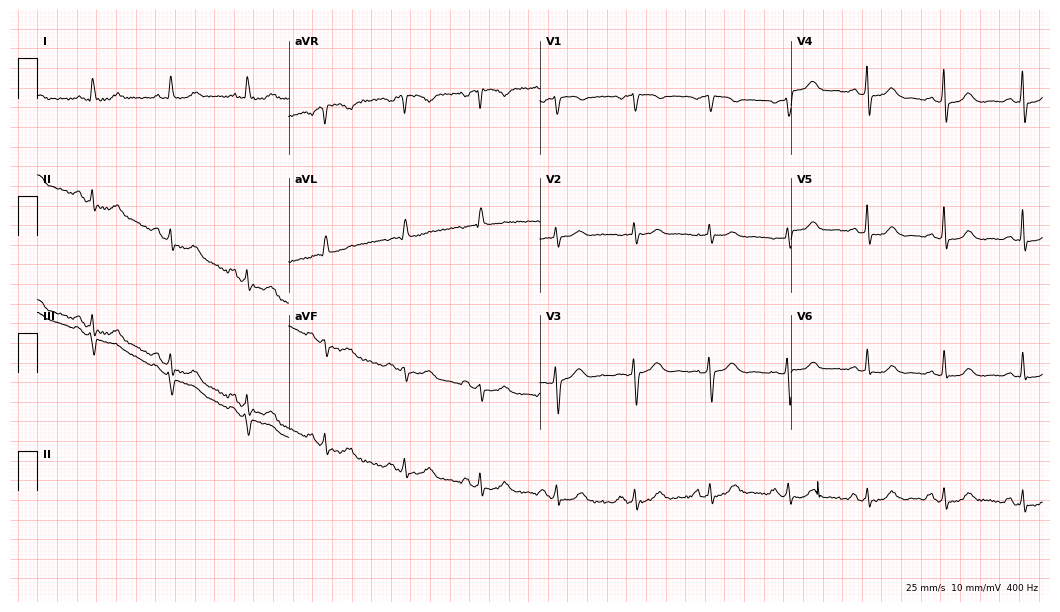
12-lead ECG (10.2-second recording at 400 Hz) from a 51-year-old female. Screened for six findings — first-degree AV block, right bundle branch block, left bundle branch block, sinus bradycardia, atrial fibrillation, sinus tachycardia — none is recorded.